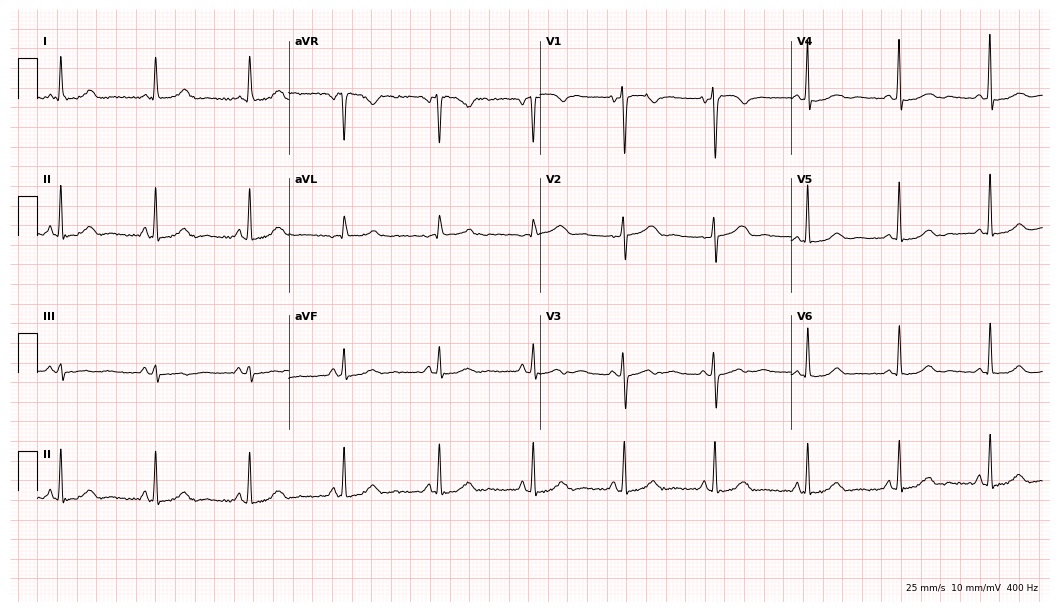
Standard 12-lead ECG recorded from a female patient, 53 years old (10.2-second recording at 400 Hz). Read as a normal ECG.